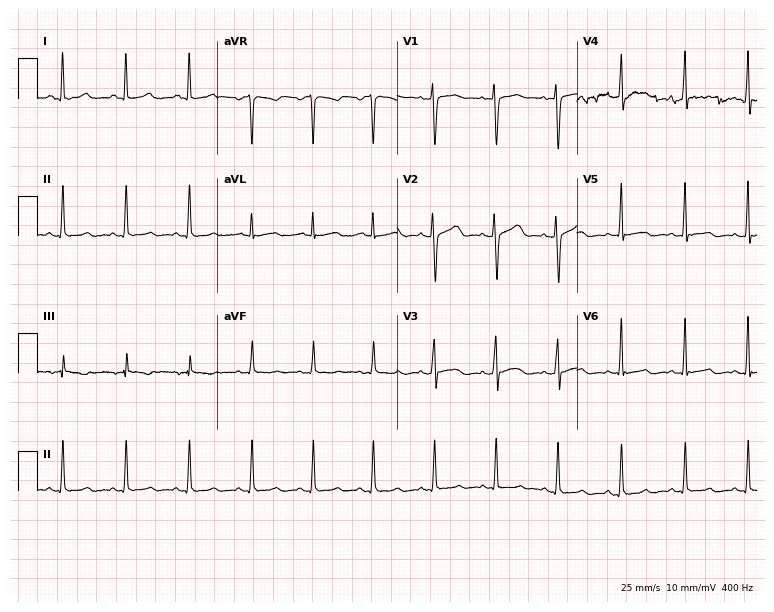
Resting 12-lead electrocardiogram (7.3-second recording at 400 Hz). Patient: a 27-year-old female. Read as a normal ECG.